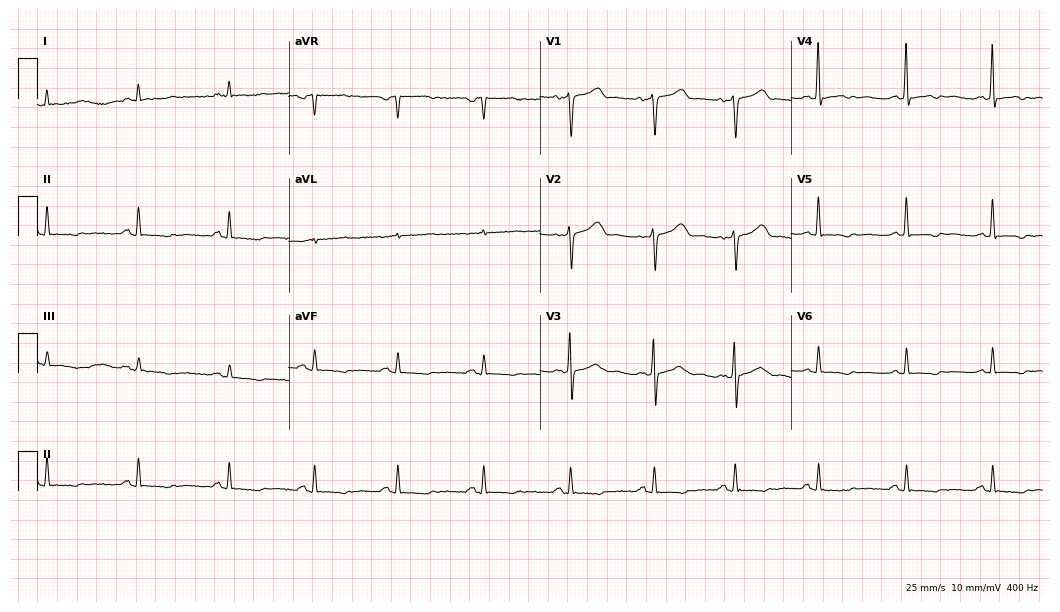
12-lead ECG from a 77-year-old man (10.2-second recording at 400 Hz). Recorded interpretation: within normal limits.